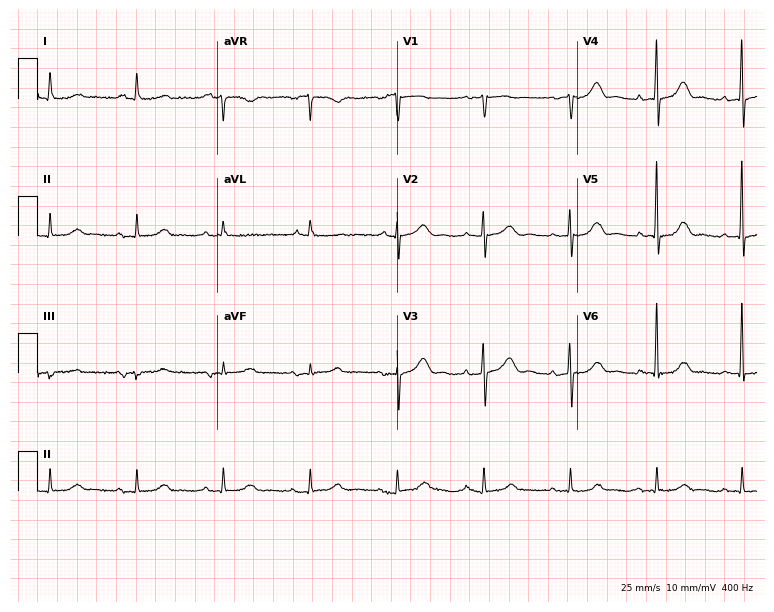
Electrocardiogram, a female patient, 83 years old. Overall reading on record: normal ECG.